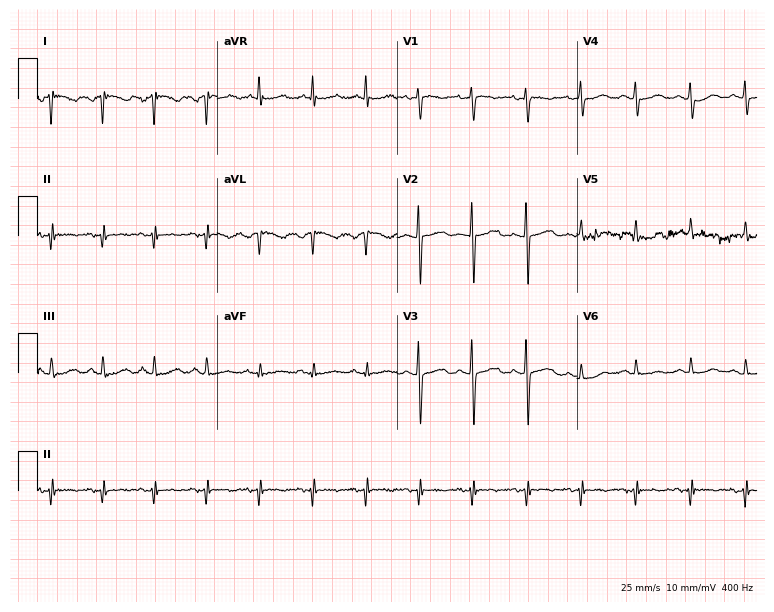
Standard 12-lead ECG recorded from a 53-year-old female (7.3-second recording at 400 Hz). None of these six findings is recorded: first-degree AV block, right bundle branch block, left bundle branch block, sinus bradycardia, atrial fibrillation, sinus tachycardia. Findings outside these six are not listed.